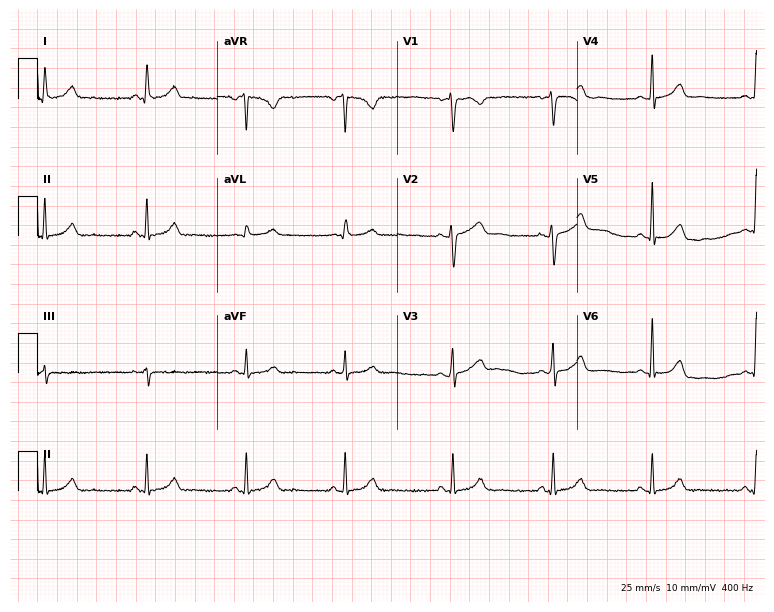
Standard 12-lead ECG recorded from a 45-year-old female (7.3-second recording at 400 Hz). None of these six findings is recorded: first-degree AV block, right bundle branch block, left bundle branch block, sinus bradycardia, atrial fibrillation, sinus tachycardia.